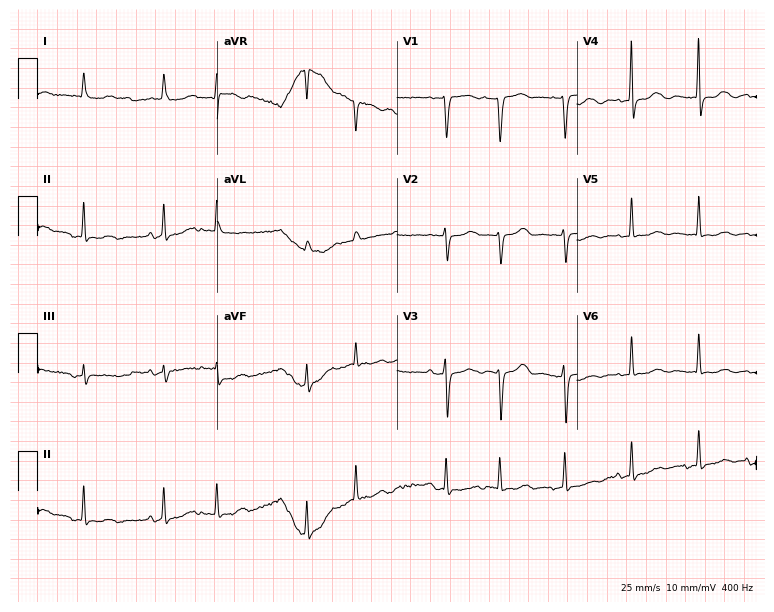
Standard 12-lead ECG recorded from a 76-year-old woman. None of these six findings is recorded: first-degree AV block, right bundle branch block, left bundle branch block, sinus bradycardia, atrial fibrillation, sinus tachycardia. Other findings, if any, are not listed.